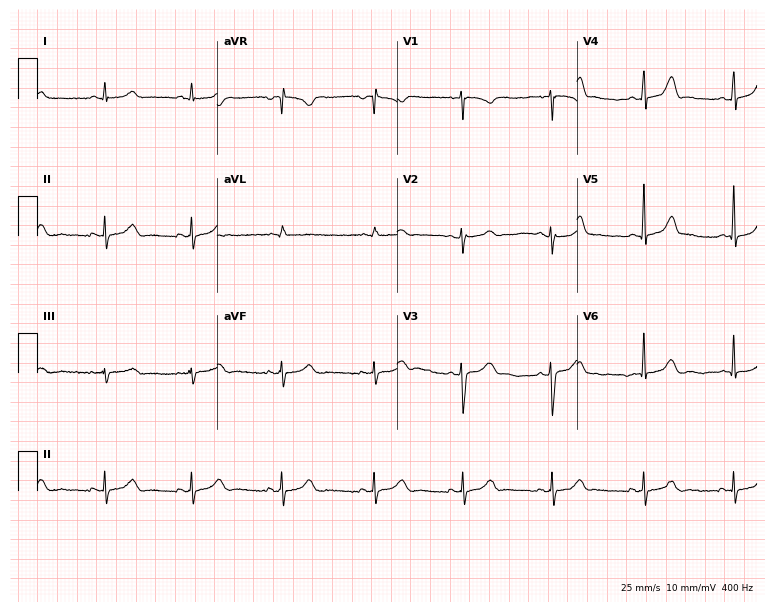
Electrocardiogram (7.3-second recording at 400 Hz), a 37-year-old woman. Of the six screened findings (first-degree AV block, right bundle branch block (RBBB), left bundle branch block (LBBB), sinus bradycardia, atrial fibrillation (AF), sinus tachycardia), none is recorded. Other findings, if any, are not listed.